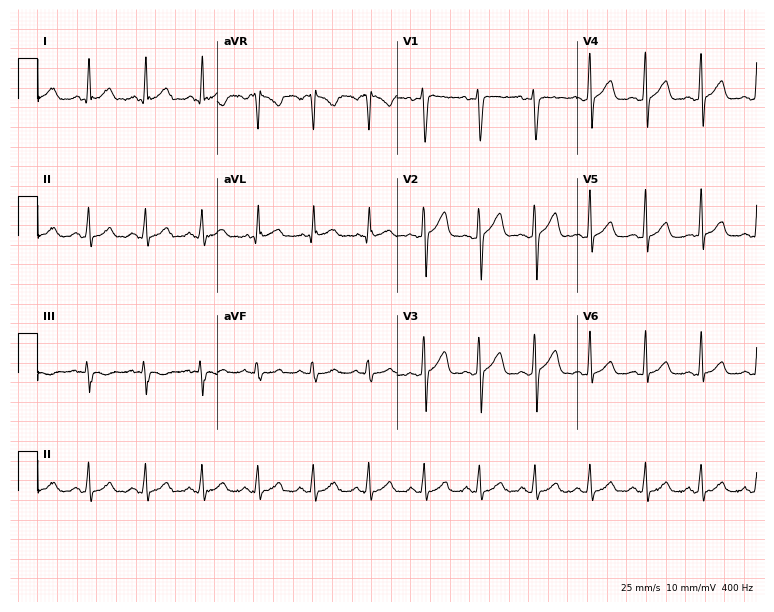
ECG (7.3-second recording at 400 Hz) — a man, 42 years old. Findings include sinus tachycardia (a sinus rate of 100 beats per minute or more).